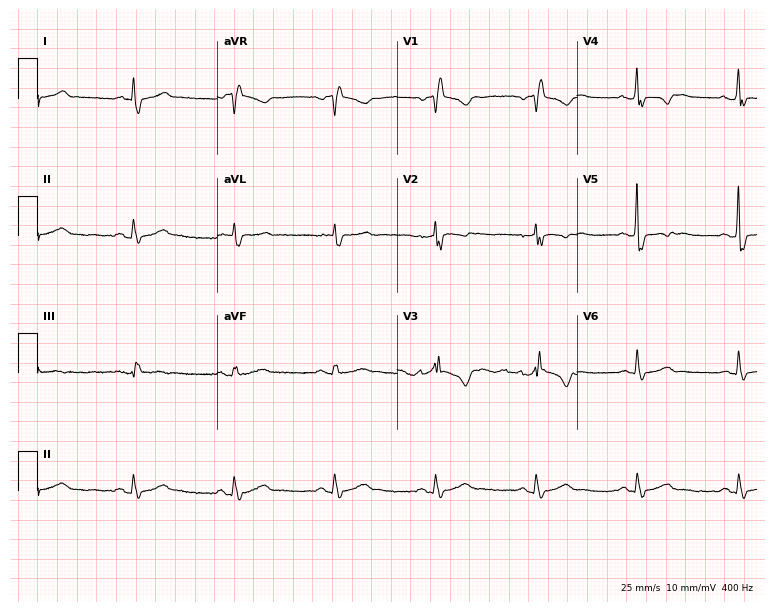
ECG — a 79-year-old male. Findings include right bundle branch block.